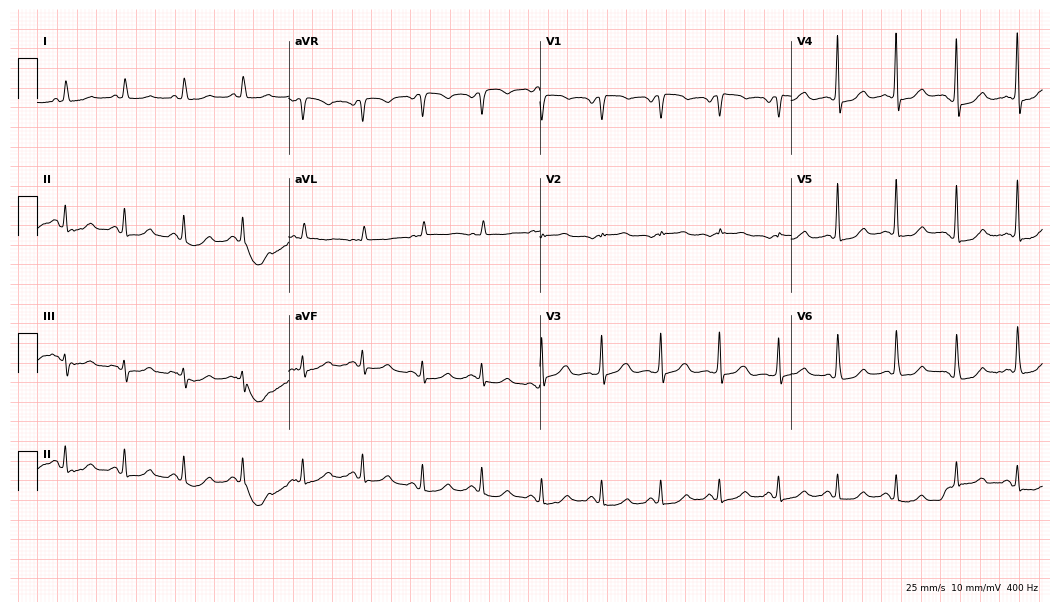
12-lead ECG from a woman, 82 years old. Screened for six findings — first-degree AV block, right bundle branch block (RBBB), left bundle branch block (LBBB), sinus bradycardia, atrial fibrillation (AF), sinus tachycardia — none is recorded.